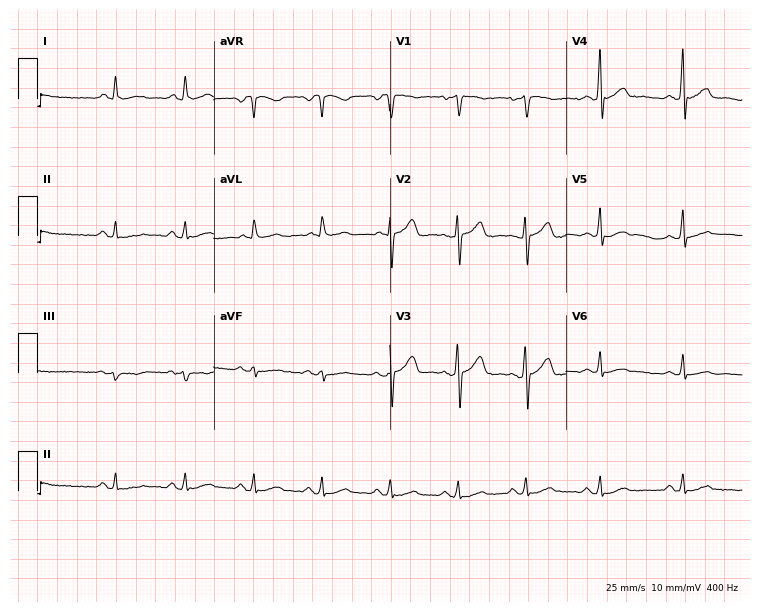
12-lead ECG (7.2-second recording at 400 Hz) from a male patient, 43 years old. Screened for six findings — first-degree AV block, right bundle branch block, left bundle branch block, sinus bradycardia, atrial fibrillation, sinus tachycardia — none is recorded.